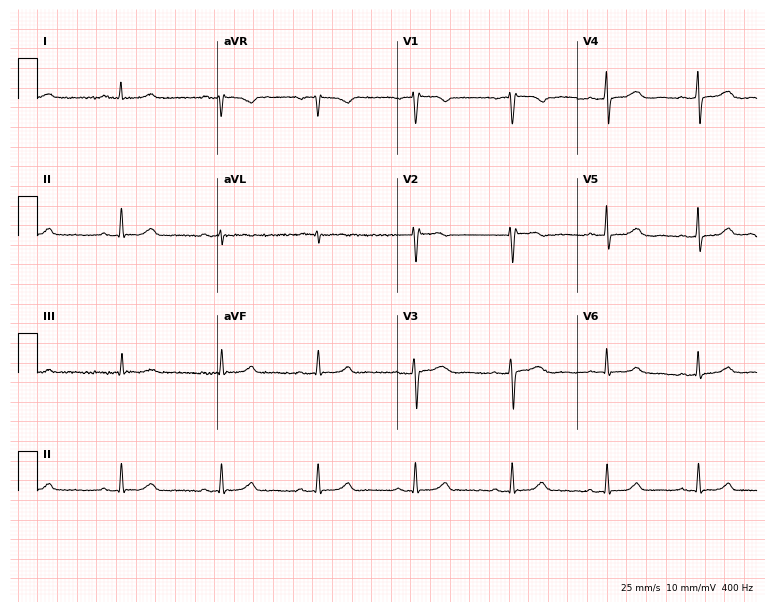
ECG — a 54-year-old female patient. Labelled as a normal ECG.